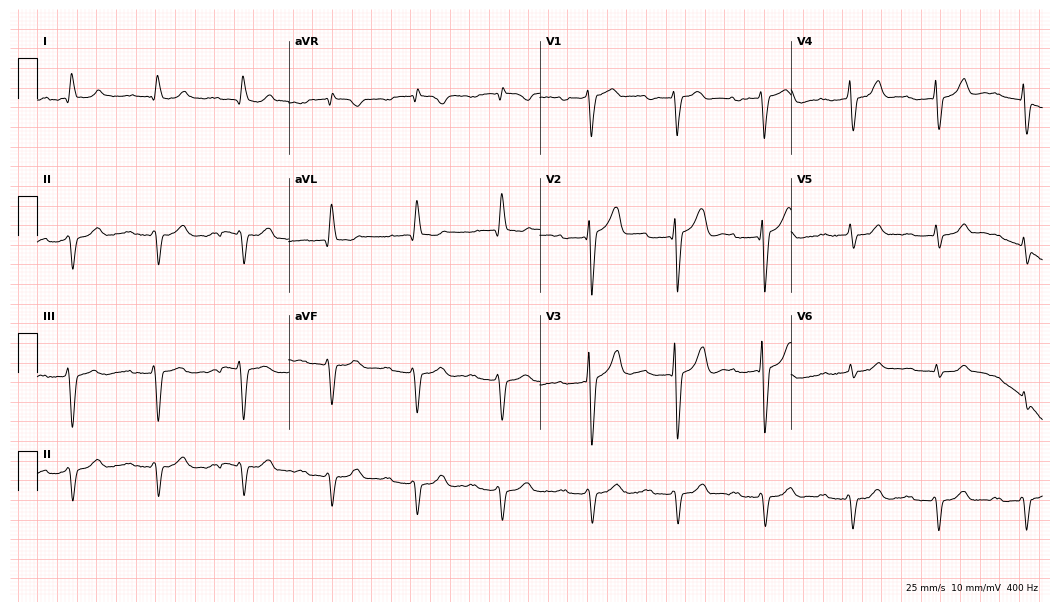
Standard 12-lead ECG recorded from an 80-year-old male patient. The tracing shows first-degree AV block.